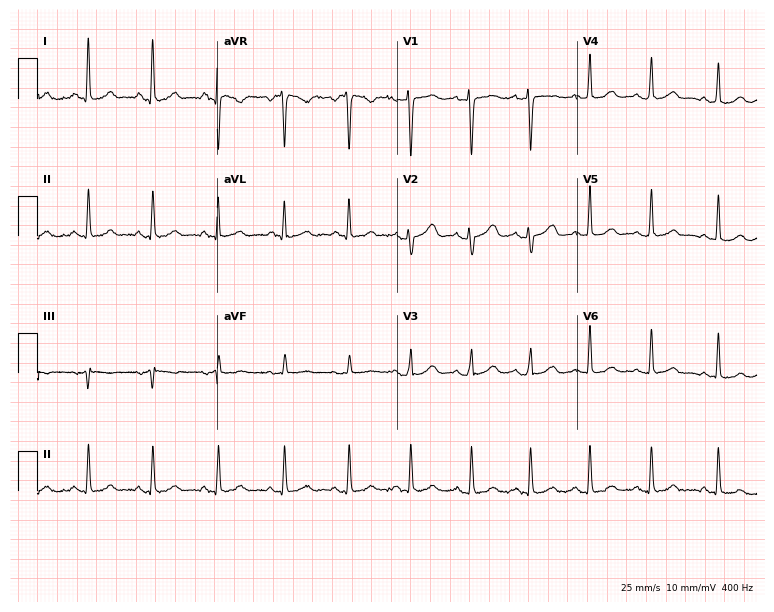
12-lead ECG from a 32-year-old woman. Labelled as a normal ECG.